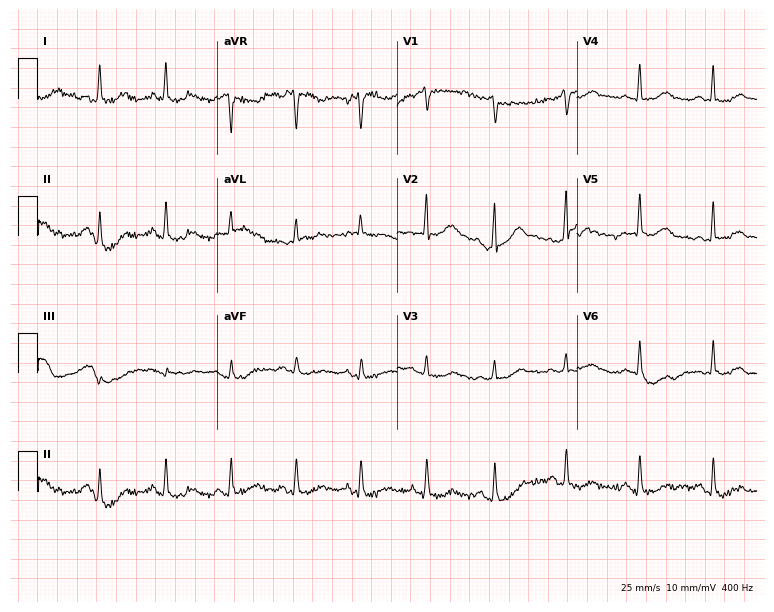
ECG (7.3-second recording at 400 Hz) — a 67-year-old woman. Screened for six findings — first-degree AV block, right bundle branch block (RBBB), left bundle branch block (LBBB), sinus bradycardia, atrial fibrillation (AF), sinus tachycardia — none is recorded.